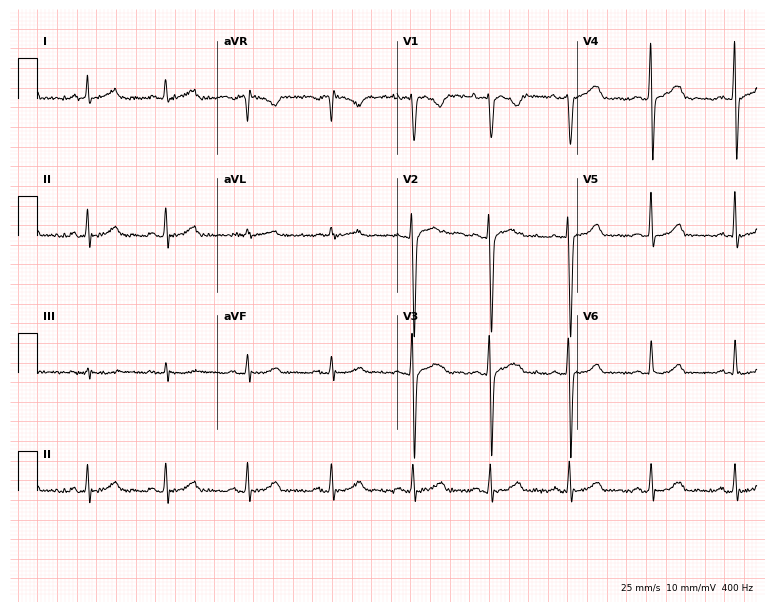
12-lead ECG (7.3-second recording at 400 Hz) from a woman, 33 years old. Screened for six findings — first-degree AV block, right bundle branch block, left bundle branch block, sinus bradycardia, atrial fibrillation, sinus tachycardia — none is recorded. Other findings, if any, are not listed.